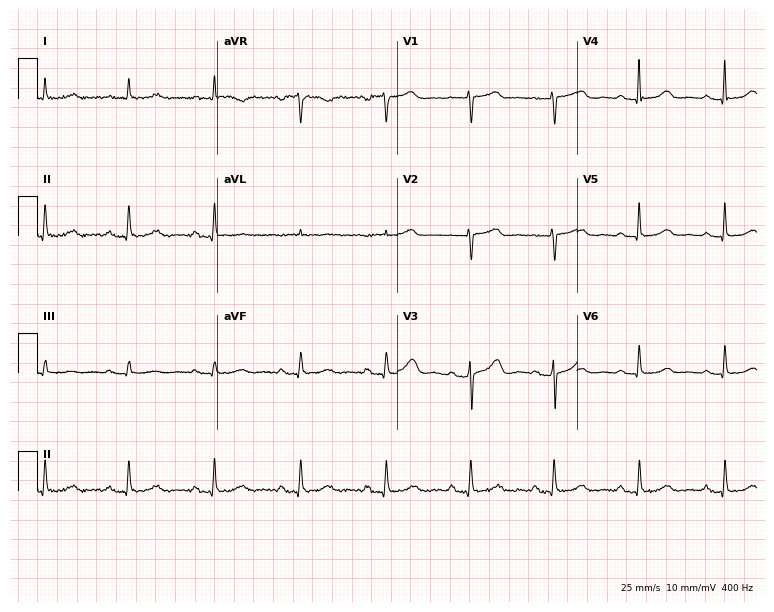
Resting 12-lead electrocardiogram (7.3-second recording at 400 Hz). Patient: a female, 68 years old. Read as a normal ECG.